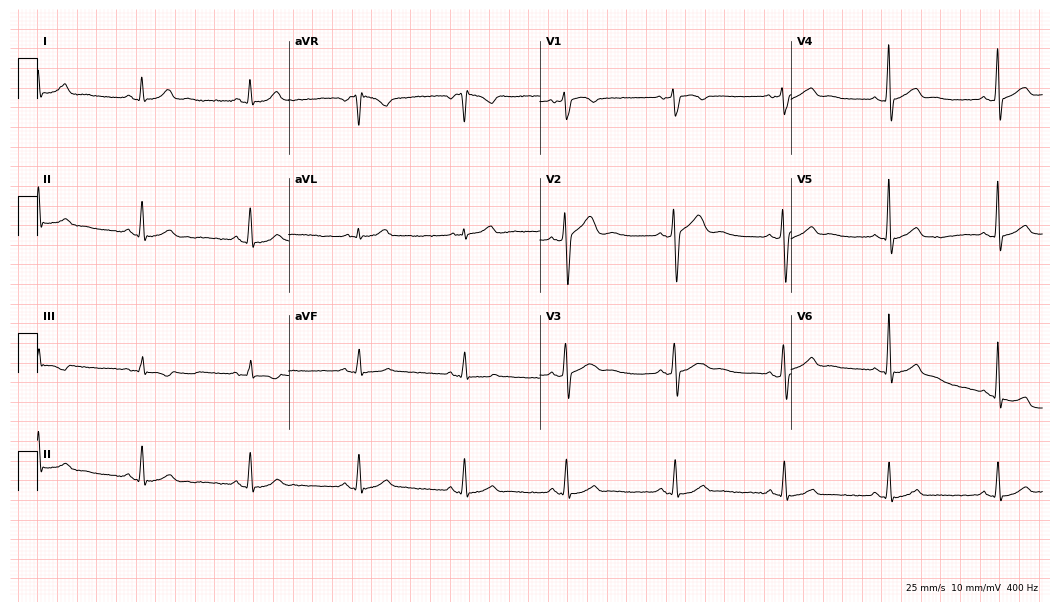
Standard 12-lead ECG recorded from a male patient, 33 years old. Read as a normal ECG.